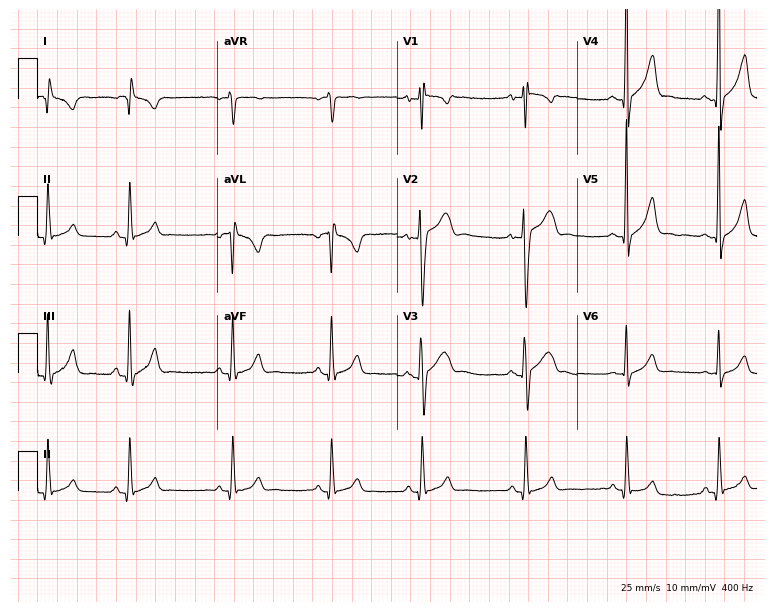
Resting 12-lead electrocardiogram (7.3-second recording at 400 Hz). Patient: an 18-year-old male. None of these six findings is recorded: first-degree AV block, right bundle branch block, left bundle branch block, sinus bradycardia, atrial fibrillation, sinus tachycardia.